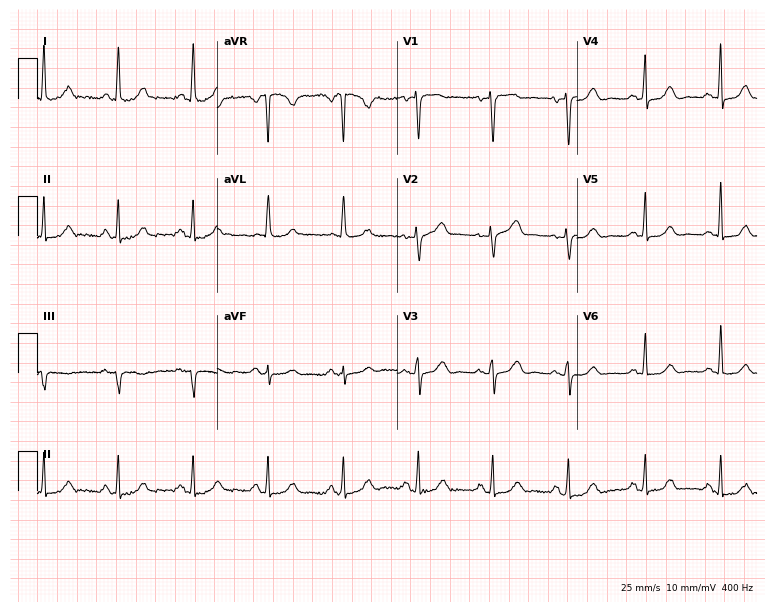
Resting 12-lead electrocardiogram (7.3-second recording at 400 Hz). Patient: a female, 62 years old. None of these six findings is recorded: first-degree AV block, right bundle branch block (RBBB), left bundle branch block (LBBB), sinus bradycardia, atrial fibrillation (AF), sinus tachycardia. Findings outside these six are not listed.